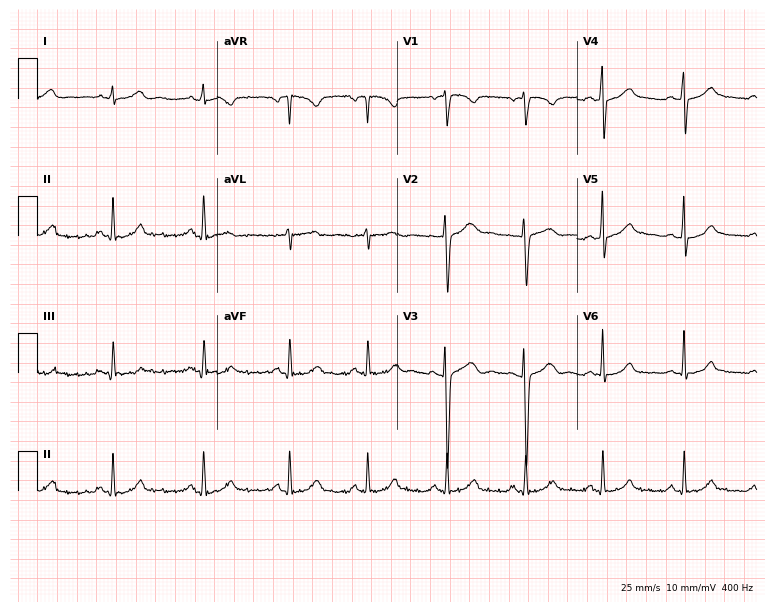
Resting 12-lead electrocardiogram. Patient: a 24-year-old female. Read as a normal ECG.